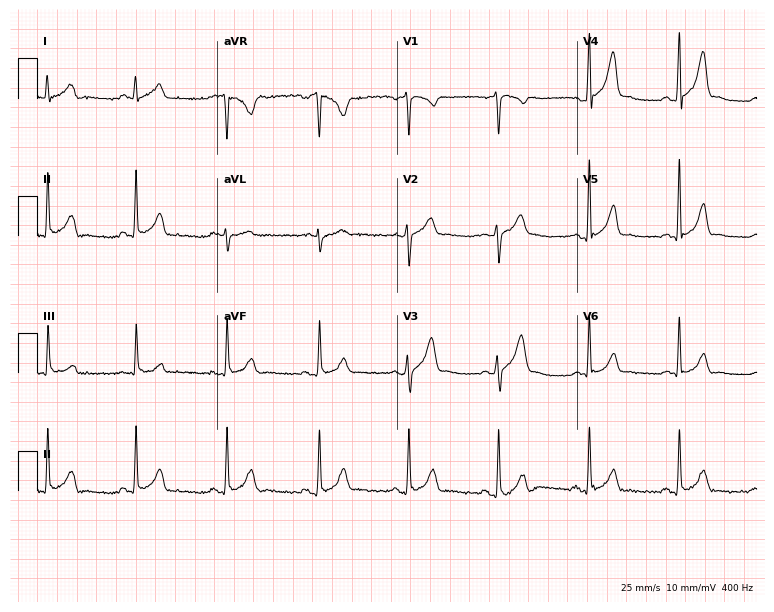
12-lead ECG from a male patient, 29 years old (7.3-second recording at 400 Hz). Recorded interpretation: within normal limits.